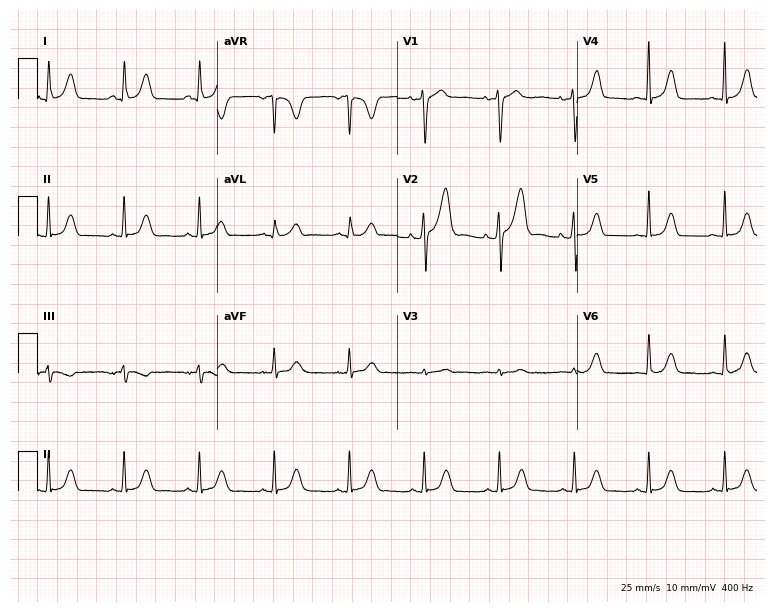
12-lead ECG from a 45-year-old woman. Recorded interpretation: within normal limits.